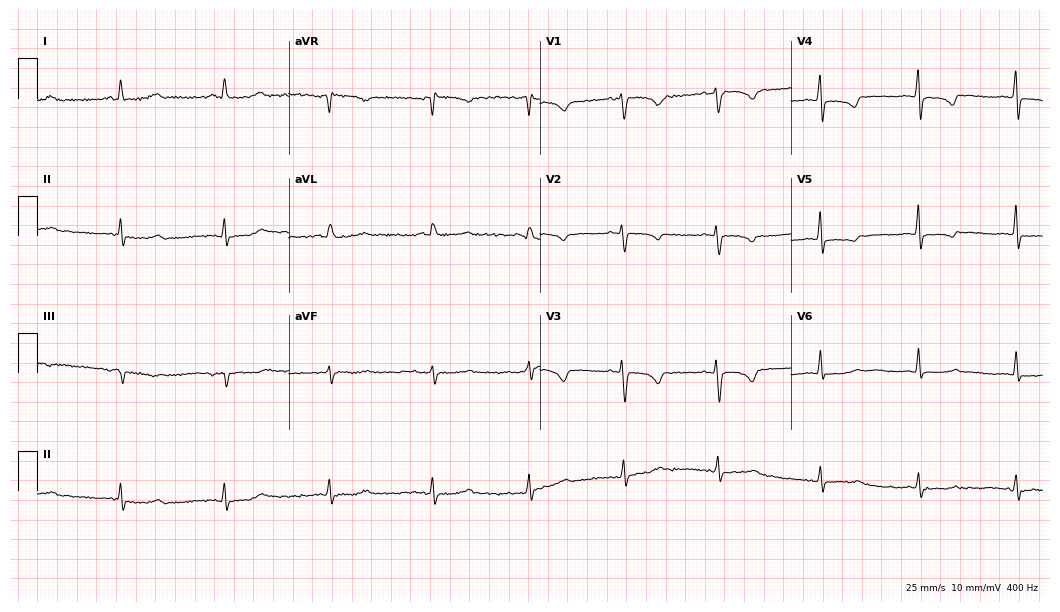
Electrocardiogram, a 55-year-old woman. Of the six screened findings (first-degree AV block, right bundle branch block (RBBB), left bundle branch block (LBBB), sinus bradycardia, atrial fibrillation (AF), sinus tachycardia), none is recorded.